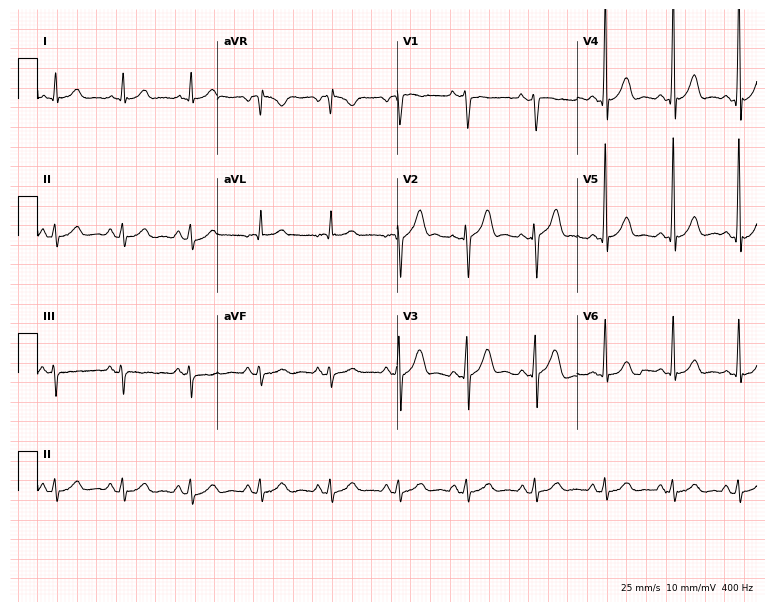
ECG — a male, 64 years old. Screened for six findings — first-degree AV block, right bundle branch block, left bundle branch block, sinus bradycardia, atrial fibrillation, sinus tachycardia — none is recorded. Other findings, if any, are not listed.